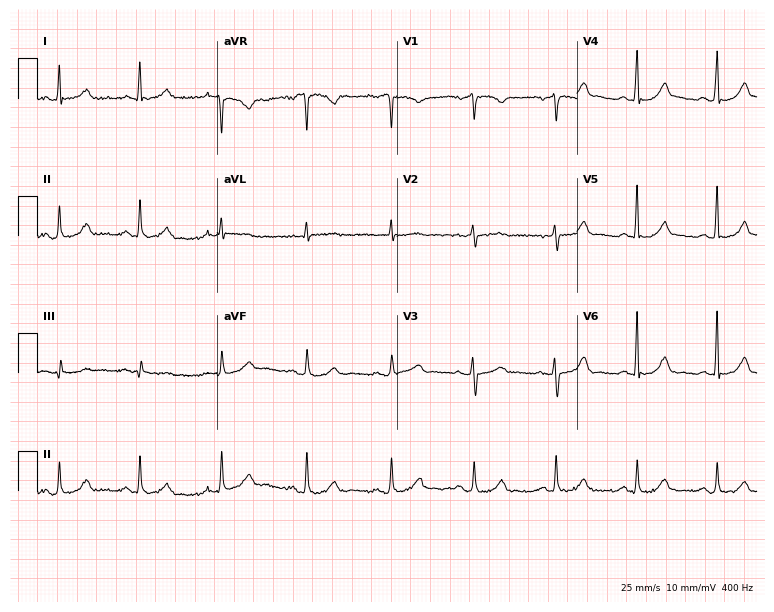
12-lead ECG from a woman, 48 years old. Recorded interpretation: within normal limits.